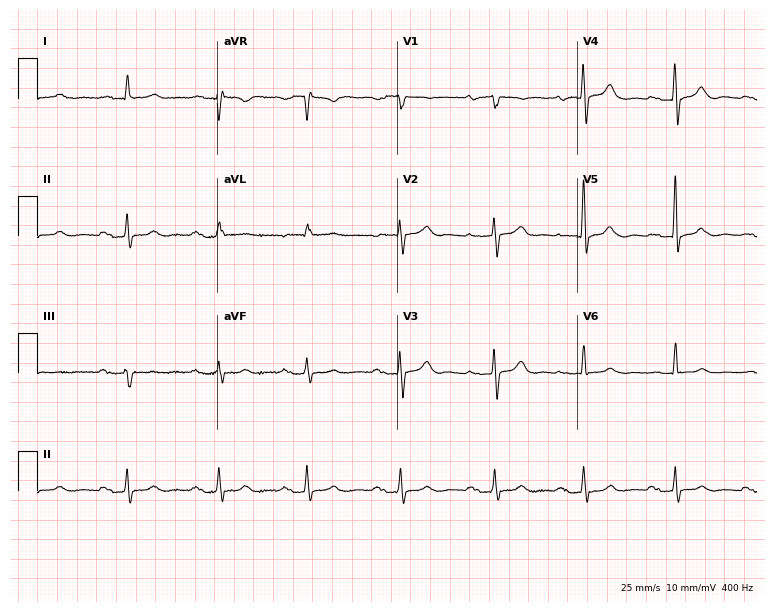
Resting 12-lead electrocardiogram. Patient: a female, 81 years old. The tracing shows first-degree AV block.